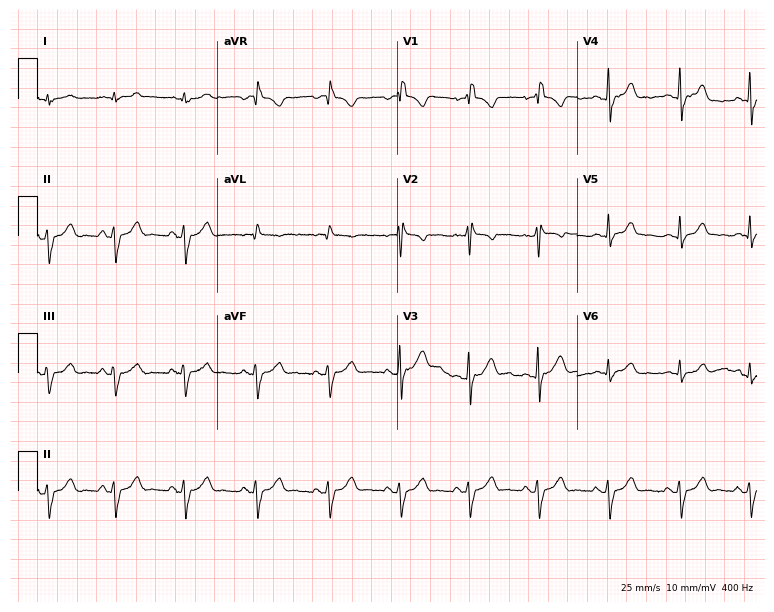
ECG (7.3-second recording at 400 Hz) — a 21-year-old male patient. Screened for six findings — first-degree AV block, right bundle branch block (RBBB), left bundle branch block (LBBB), sinus bradycardia, atrial fibrillation (AF), sinus tachycardia — none is recorded. Only these six findings were labelled.